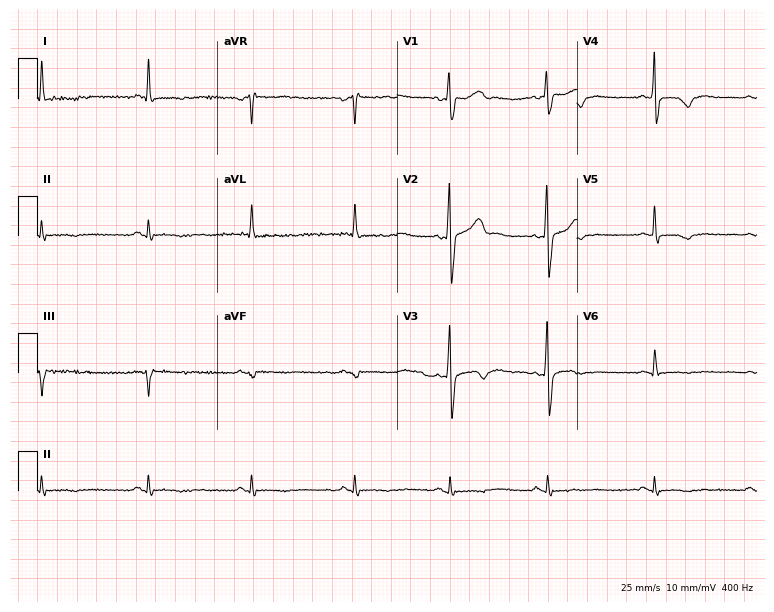
12-lead ECG (7.3-second recording at 400 Hz) from a 38-year-old male patient. Screened for six findings — first-degree AV block, right bundle branch block (RBBB), left bundle branch block (LBBB), sinus bradycardia, atrial fibrillation (AF), sinus tachycardia — none is recorded.